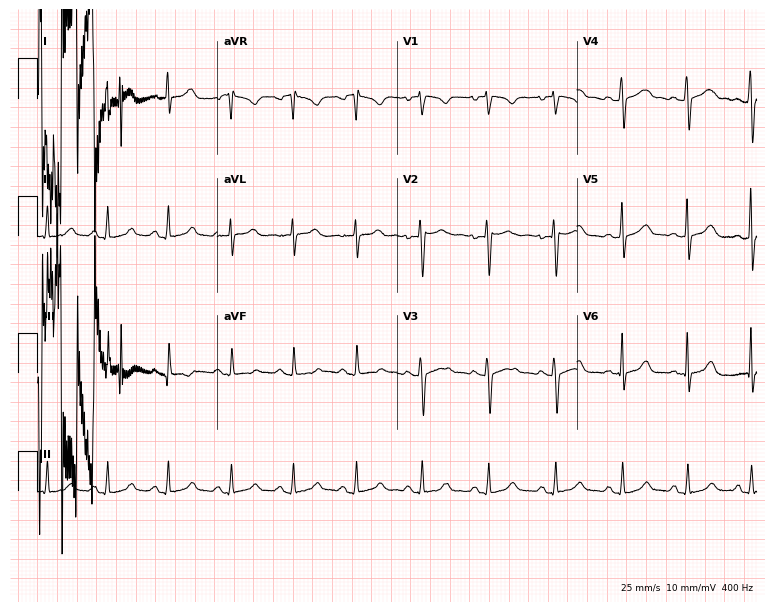
Resting 12-lead electrocardiogram (7.3-second recording at 400 Hz). Patient: a 24-year-old female. None of these six findings is recorded: first-degree AV block, right bundle branch block (RBBB), left bundle branch block (LBBB), sinus bradycardia, atrial fibrillation (AF), sinus tachycardia.